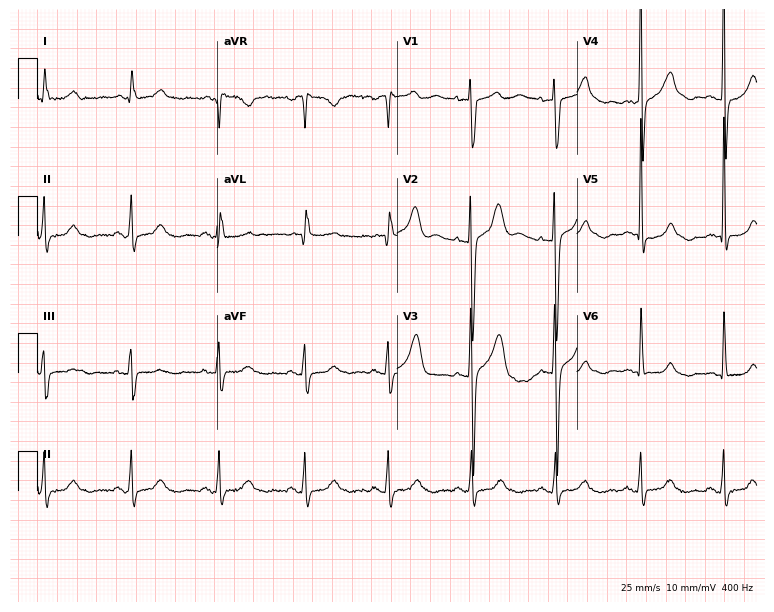
Standard 12-lead ECG recorded from a male, 57 years old. None of these six findings is recorded: first-degree AV block, right bundle branch block, left bundle branch block, sinus bradycardia, atrial fibrillation, sinus tachycardia.